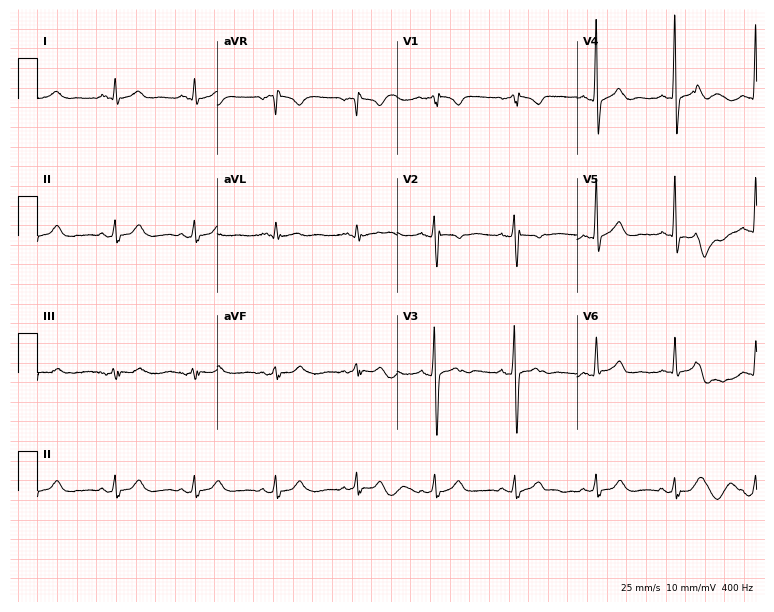
Resting 12-lead electrocardiogram (7.3-second recording at 400 Hz). Patient: a male, 42 years old. None of these six findings is recorded: first-degree AV block, right bundle branch block, left bundle branch block, sinus bradycardia, atrial fibrillation, sinus tachycardia. Only these six findings were labelled.